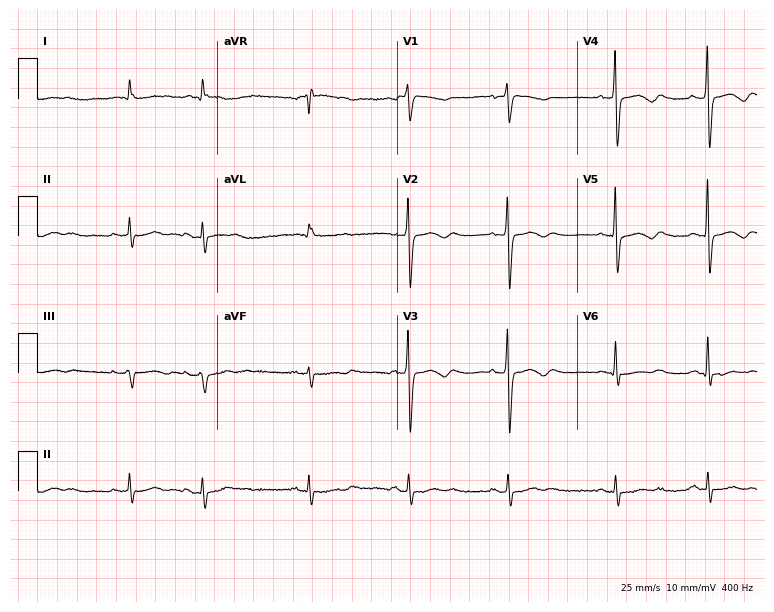
Standard 12-lead ECG recorded from an 83-year-old female patient (7.3-second recording at 400 Hz). None of these six findings is recorded: first-degree AV block, right bundle branch block, left bundle branch block, sinus bradycardia, atrial fibrillation, sinus tachycardia.